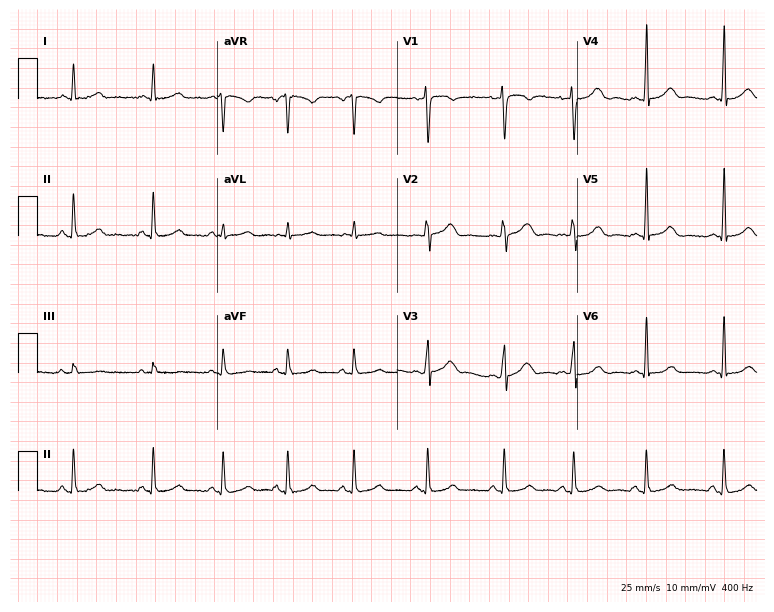
ECG — a 25-year-old female. Screened for six findings — first-degree AV block, right bundle branch block, left bundle branch block, sinus bradycardia, atrial fibrillation, sinus tachycardia — none is recorded.